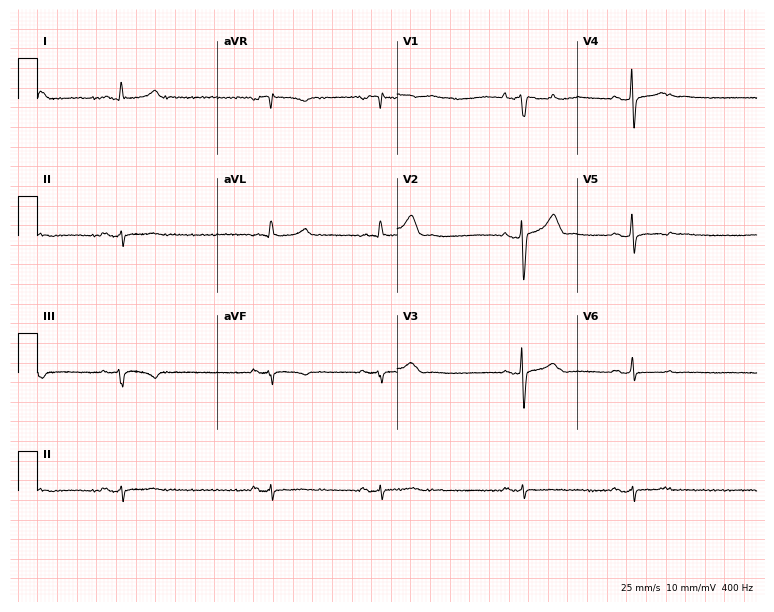
12-lead ECG from a male patient, 68 years old (7.3-second recording at 400 Hz). Shows sinus bradycardia (a sinus rate of 50 beats per minute or less).